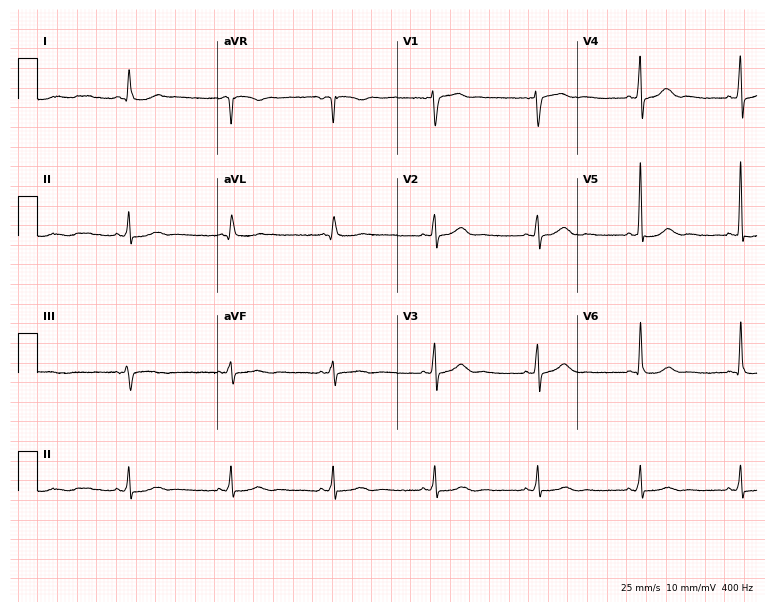
12-lead ECG (7.3-second recording at 400 Hz) from a 73-year-old male patient. Labelled as a normal ECG.